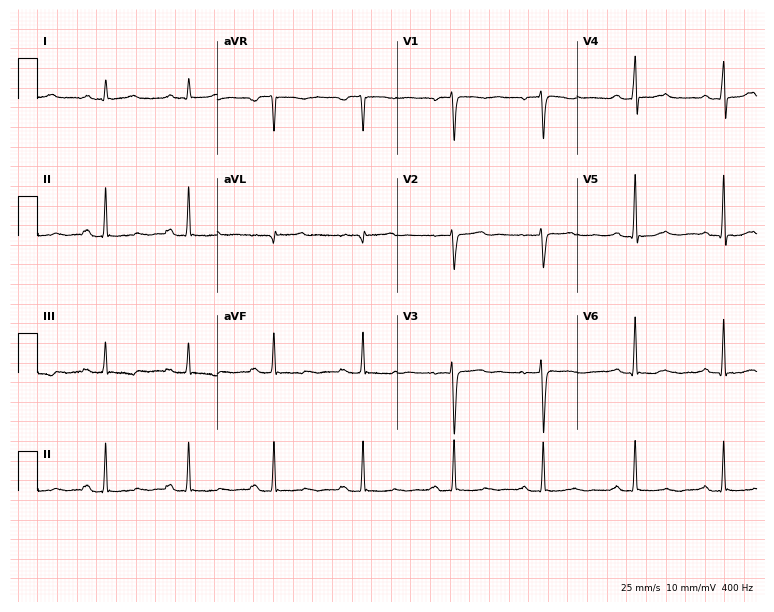
12-lead ECG from a 36-year-old female. No first-degree AV block, right bundle branch block (RBBB), left bundle branch block (LBBB), sinus bradycardia, atrial fibrillation (AF) or sinus tachycardia recorded for this tracing.